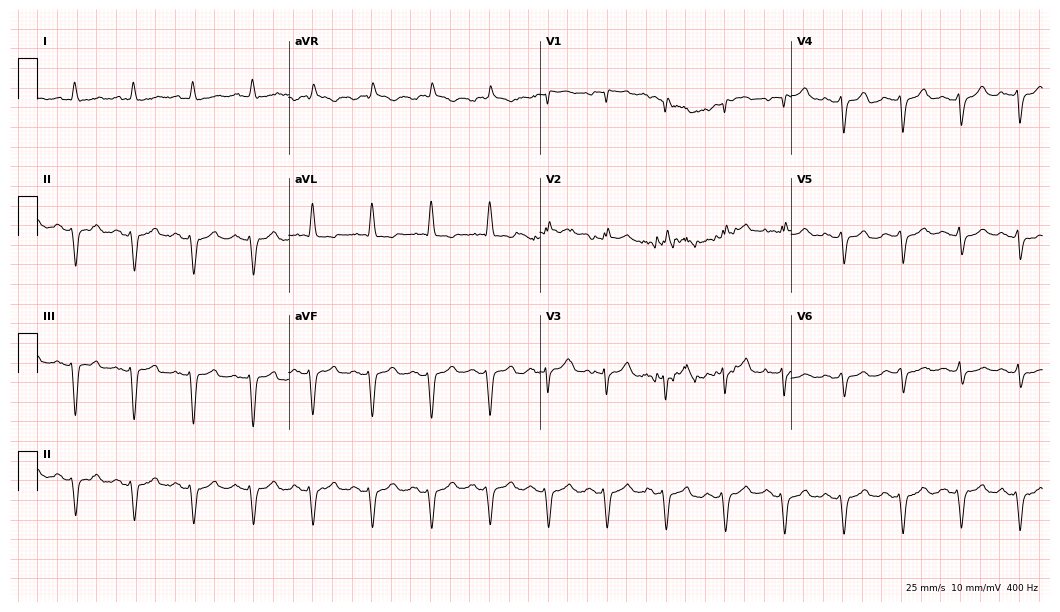
12-lead ECG from a male patient, 80 years old. Screened for six findings — first-degree AV block, right bundle branch block (RBBB), left bundle branch block (LBBB), sinus bradycardia, atrial fibrillation (AF), sinus tachycardia — none is recorded.